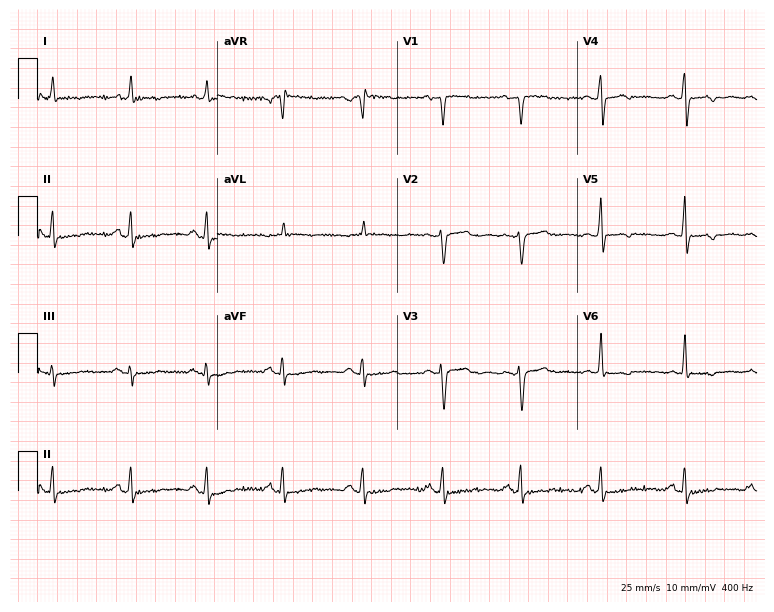
12-lead ECG (7.3-second recording at 400 Hz) from a 48-year-old female. Screened for six findings — first-degree AV block, right bundle branch block, left bundle branch block, sinus bradycardia, atrial fibrillation, sinus tachycardia — none is recorded. Other findings, if any, are not listed.